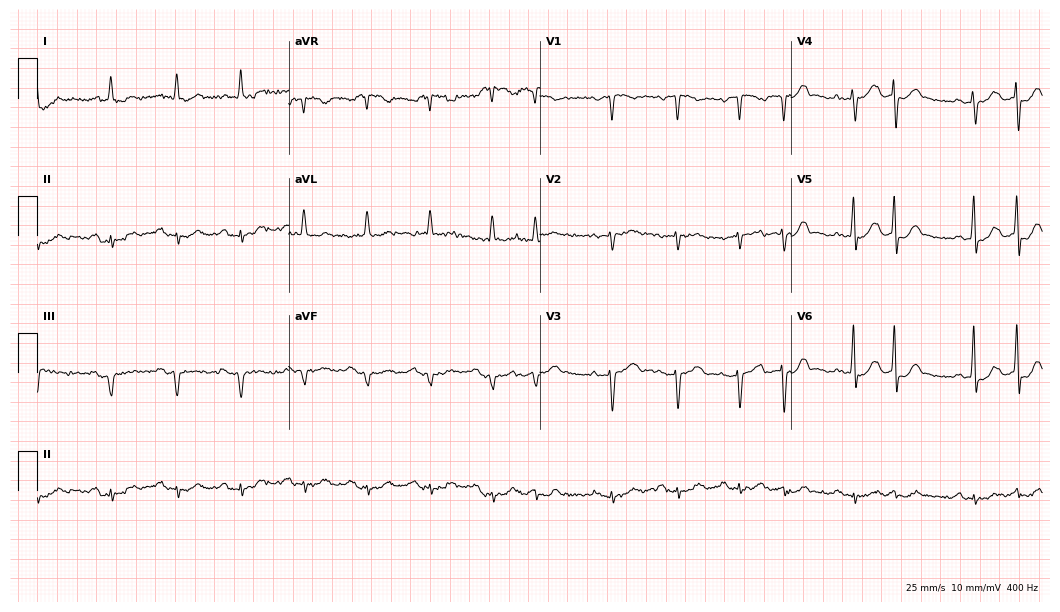
Resting 12-lead electrocardiogram (10.2-second recording at 400 Hz). Patient: a man, 79 years old. None of these six findings is recorded: first-degree AV block, right bundle branch block, left bundle branch block, sinus bradycardia, atrial fibrillation, sinus tachycardia. Other findings, if any, are not listed.